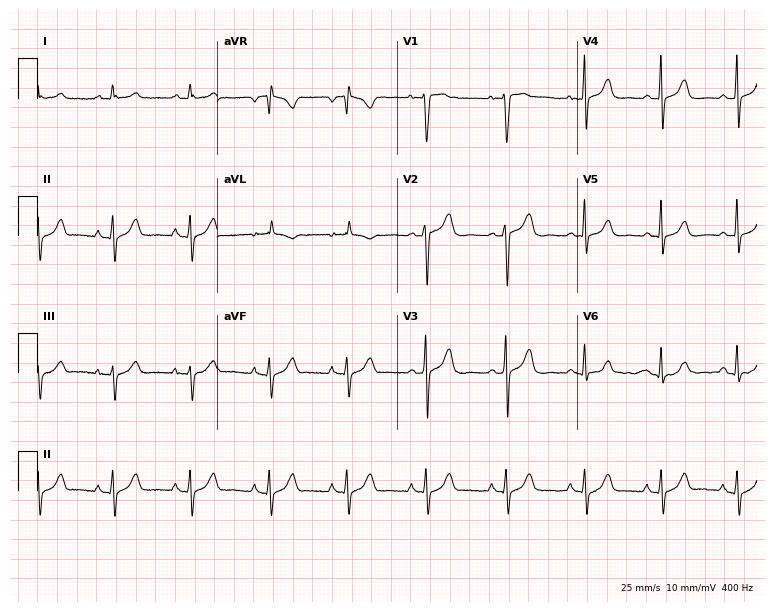
ECG — a female, 42 years old. Screened for six findings — first-degree AV block, right bundle branch block, left bundle branch block, sinus bradycardia, atrial fibrillation, sinus tachycardia — none is recorded.